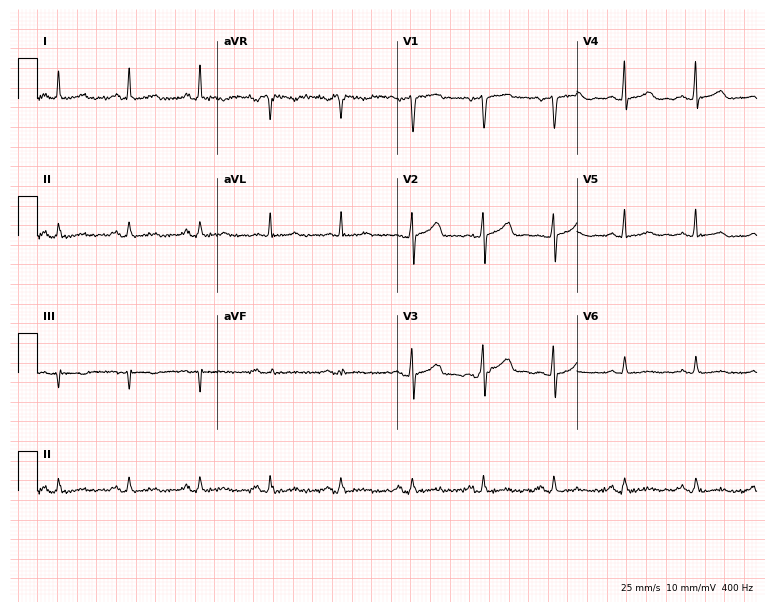
Electrocardiogram, a 49-year-old female. Of the six screened findings (first-degree AV block, right bundle branch block, left bundle branch block, sinus bradycardia, atrial fibrillation, sinus tachycardia), none is recorded.